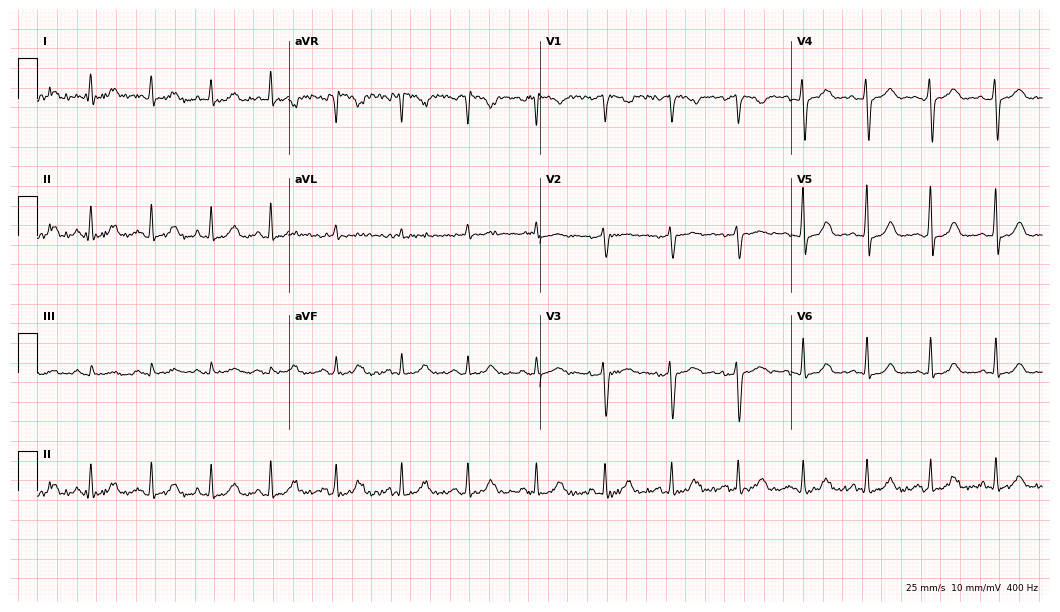
12-lead ECG from a female patient, 37 years old (10.2-second recording at 400 Hz). Recorded interpretation: within normal limits.